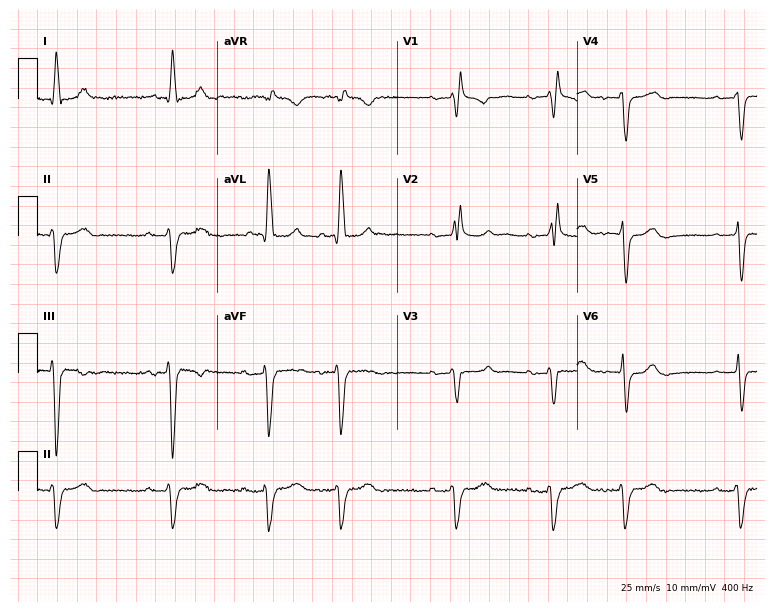
12-lead ECG from a male patient, 76 years old (7.3-second recording at 400 Hz). Shows right bundle branch block (RBBB).